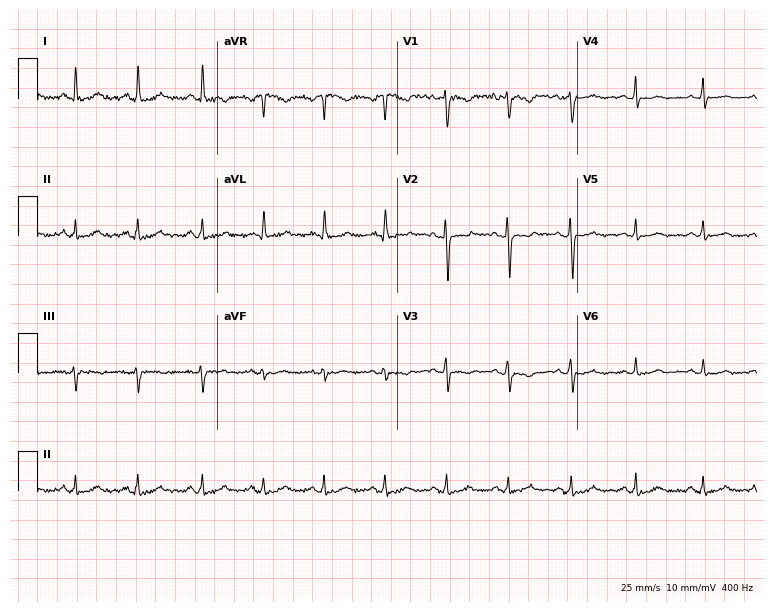
Resting 12-lead electrocardiogram (7.3-second recording at 400 Hz). Patient: a 43-year-old woman. None of these six findings is recorded: first-degree AV block, right bundle branch block, left bundle branch block, sinus bradycardia, atrial fibrillation, sinus tachycardia. Only these six findings were labelled.